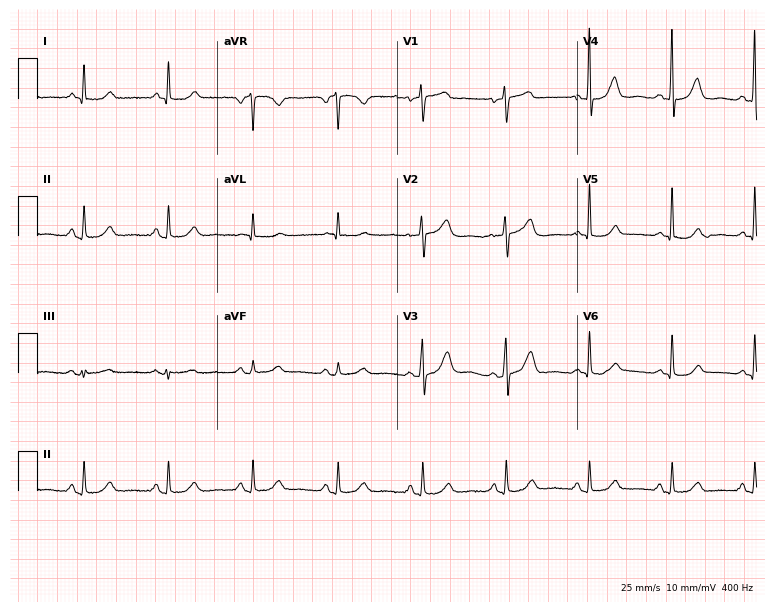
Resting 12-lead electrocardiogram (7.3-second recording at 400 Hz). Patient: a 64-year-old woman. None of these six findings is recorded: first-degree AV block, right bundle branch block, left bundle branch block, sinus bradycardia, atrial fibrillation, sinus tachycardia. Findings outside these six are not listed.